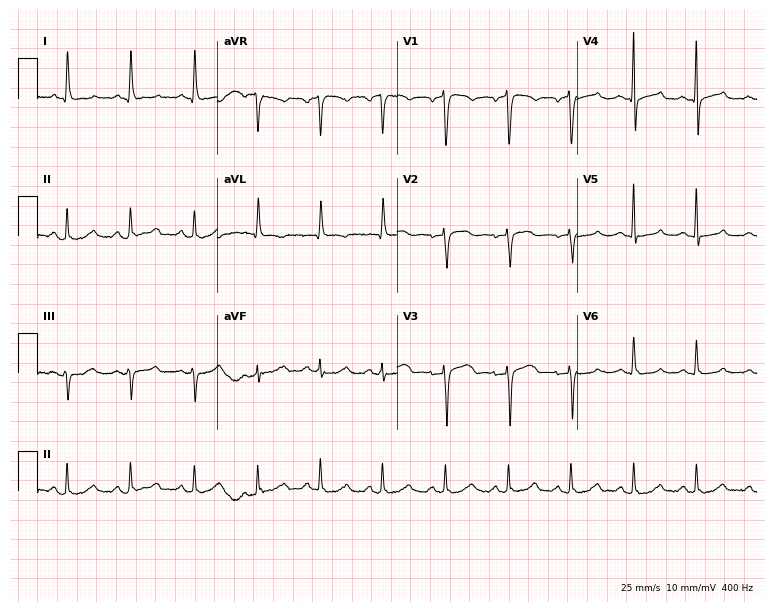
Electrocardiogram, a 64-year-old female. Overall reading on record: normal ECG.